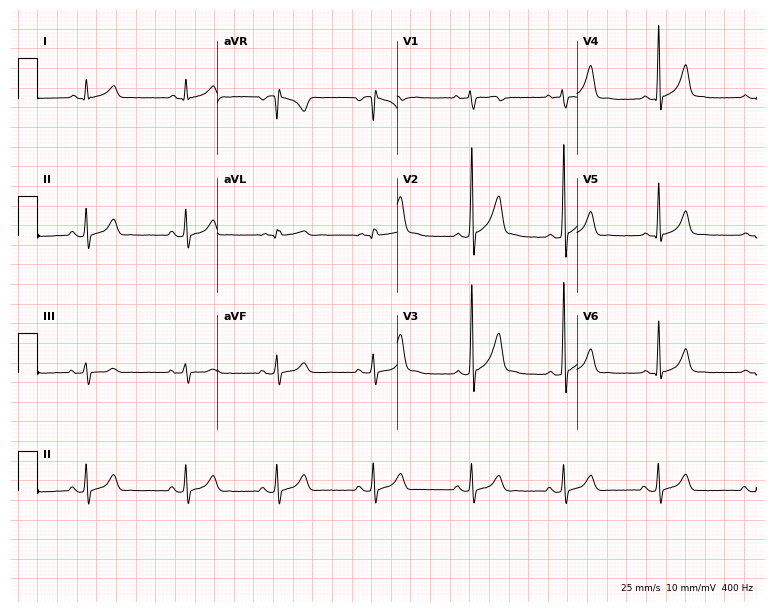
12-lead ECG (7.3-second recording at 400 Hz) from an 18-year-old man. Screened for six findings — first-degree AV block, right bundle branch block, left bundle branch block, sinus bradycardia, atrial fibrillation, sinus tachycardia — none is recorded. Other findings, if any, are not listed.